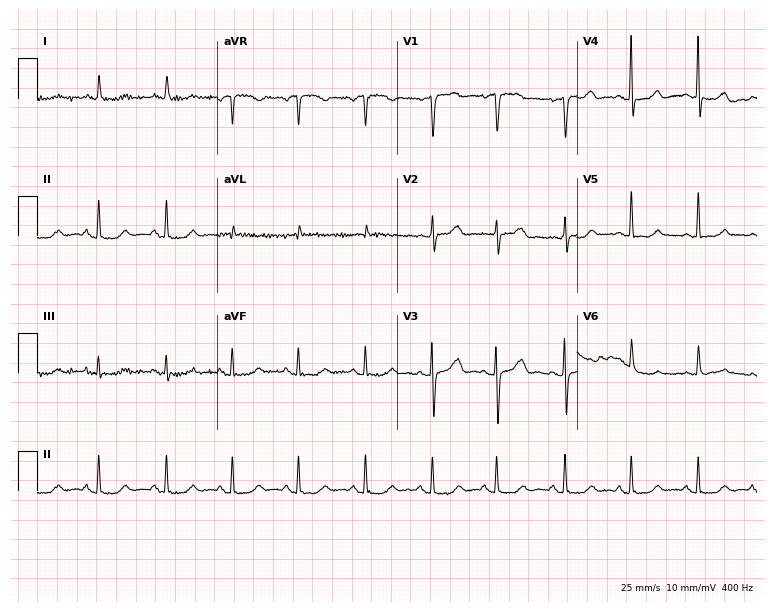
ECG (7.3-second recording at 400 Hz) — an 80-year-old female. Labelled as a normal ECG.